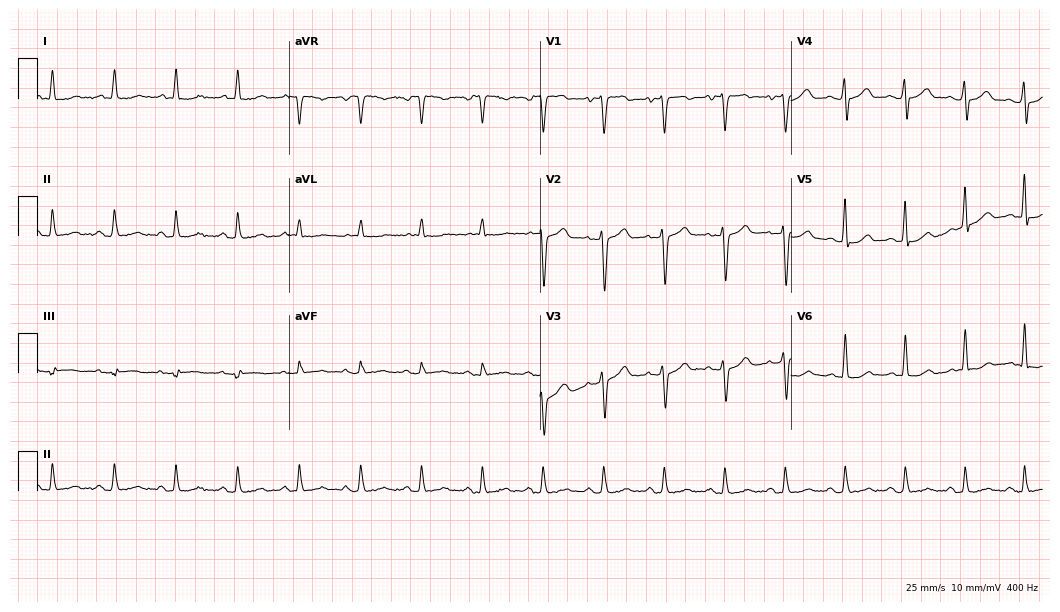
Electrocardiogram (10.2-second recording at 400 Hz), a 63-year-old male patient. Of the six screened findings (first-degree AV block, right bundle branch block (RBBB), left bundle branch block (LBBB), sinus bradycardia, atrial fibrillation (AF), sinus tachycardia), none is recorded. Other findings, if any, are not listed.